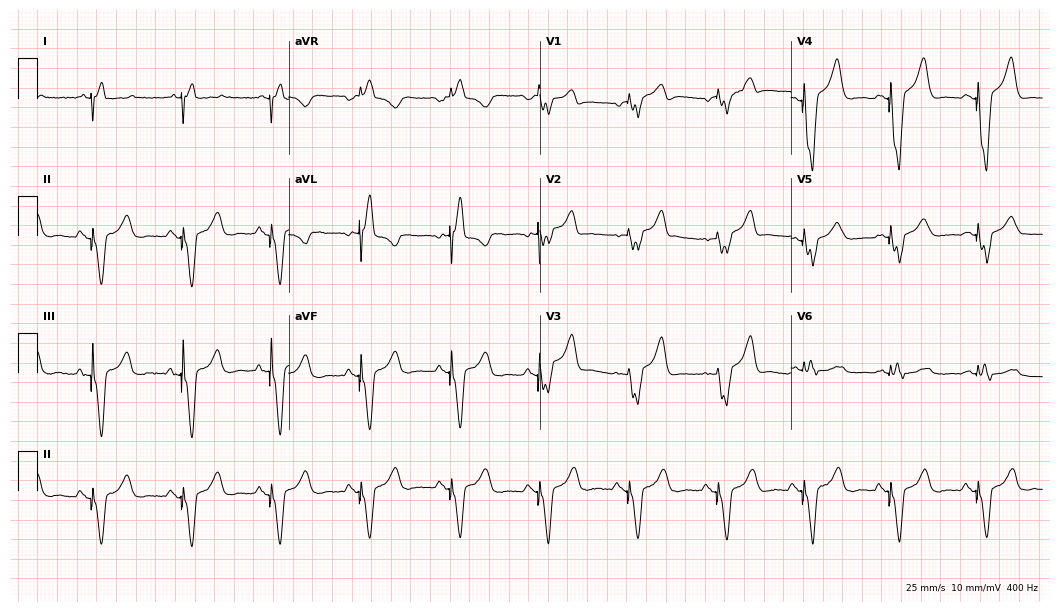
12-lead ECG (10.2-second recording at 400 Hz) from a male patient, 77 years old. Screened for six findings — first-degree AV block, right bundle branch block, left bundle branch block, sinus bradycardia, atrial fibrillation, sinus tachycardia — none is recorded.